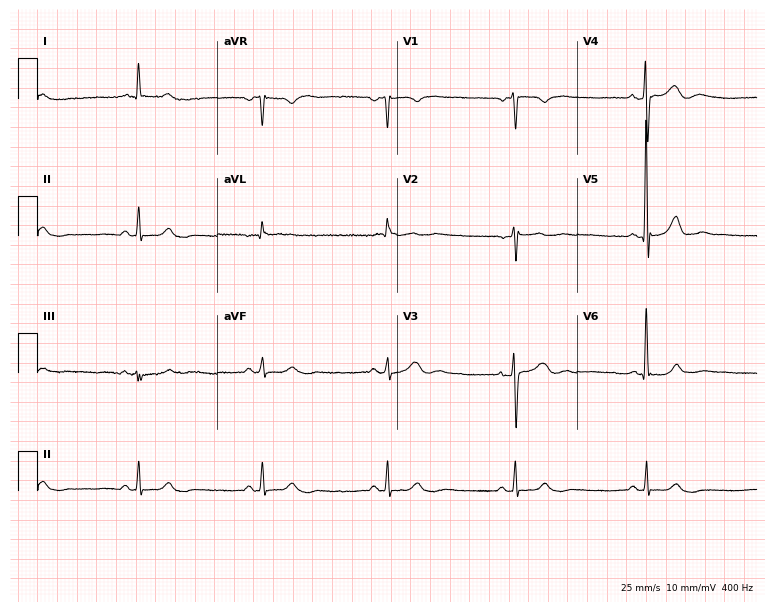
Standard 12-lead ECG recorded from a male, 80 years old. The tracing shows sinus bradycardia (a sinus rate of 50 beats per minute or less).